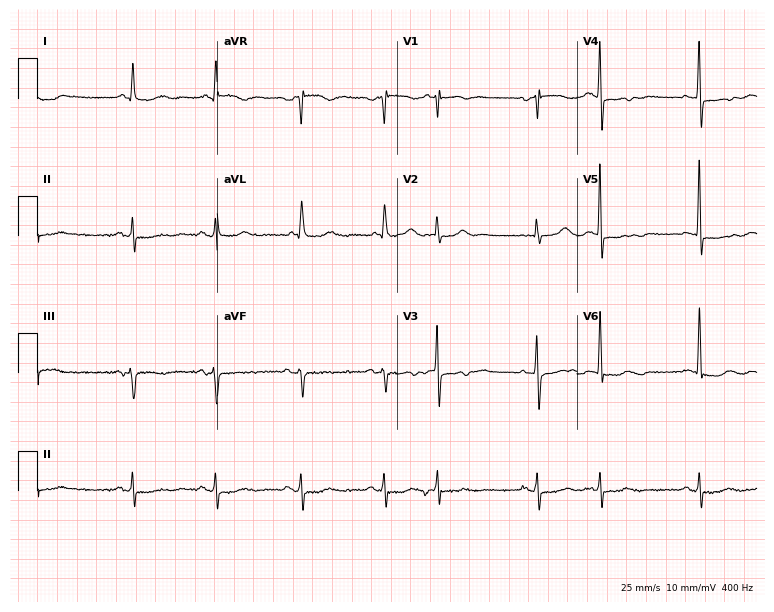
12-lead ECG from a female, 84 years old. No first-degree AV block, right bundle branch block, left bundle branch block, sinus bradycardia, atrial fibrillation or sinus tachycardia recorded for this tracing.